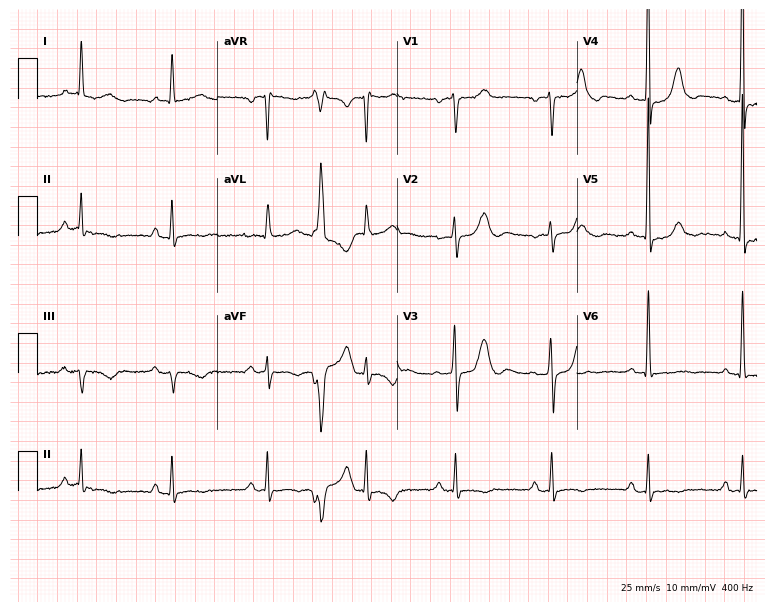
12-lead ECG from a 78-year-old woman. No first-degree AV block, right bundle branch block, left bundle branch block, sinus bradycardia, atrial fibrillation or sinus tachycardia recorded for this tracing. Only these six findings were labelled.